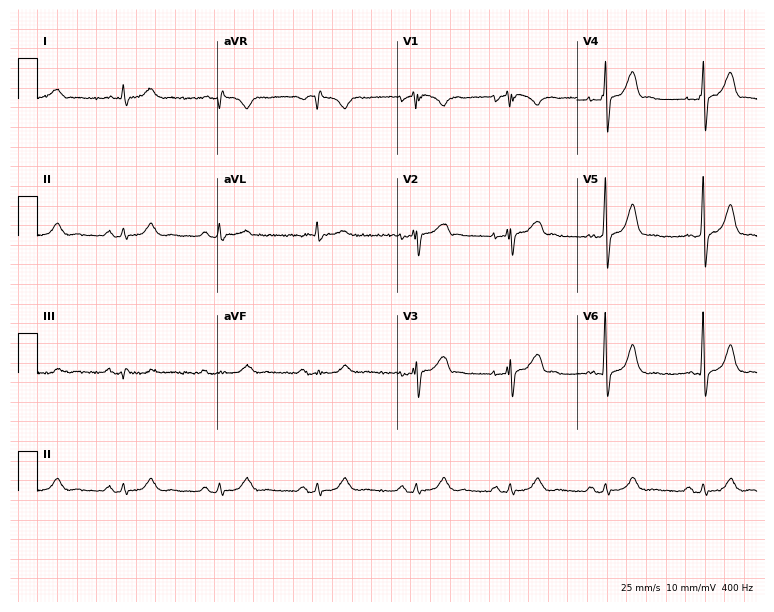
12-lead ECG from a 59-year-old man. Screened for six findings — first-degree AV block, right bundle branch block, left bundle branch block, sinus bradycardia, atrial fibrillation, sinus tachycardia — none is recorded.